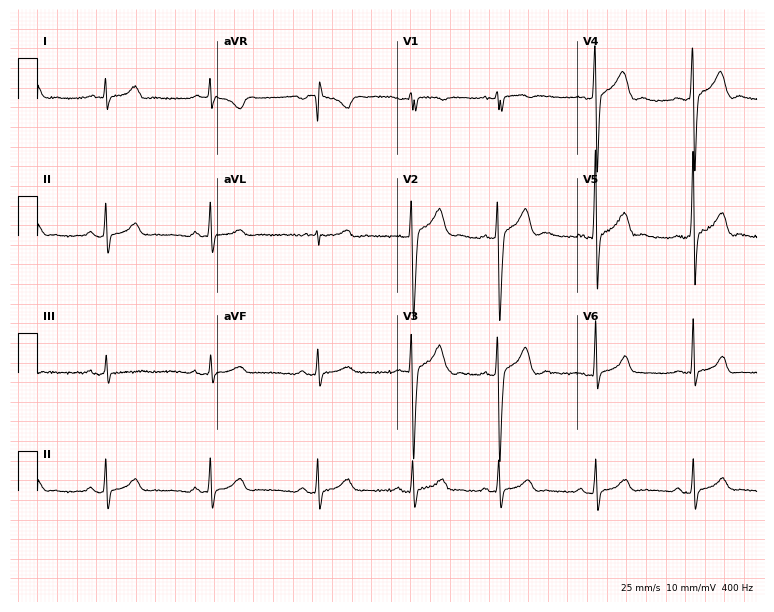
Electrocardiogram, a 22-year-old man. Overall reading on record: normal ECG.